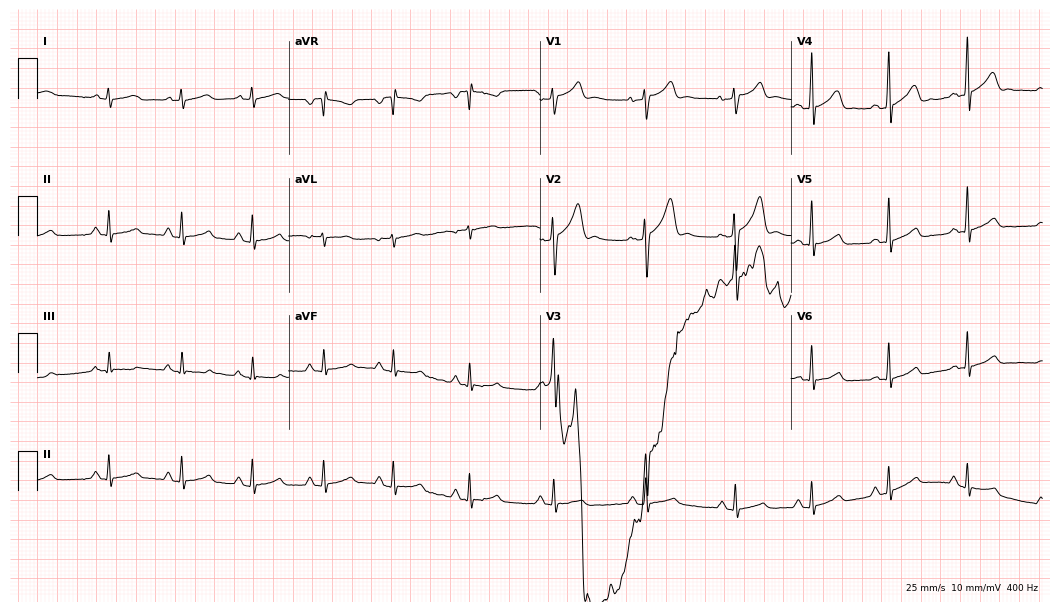
Electrocardiogram, a 21-year-old male patient. Of the six screened findings (first-degree AV block, right bundle branch block, left bundle branch block, sinus bradycardia, atrial fibrillation, sinus tachycardia), none is recorded. Findings outside these six are not listed.